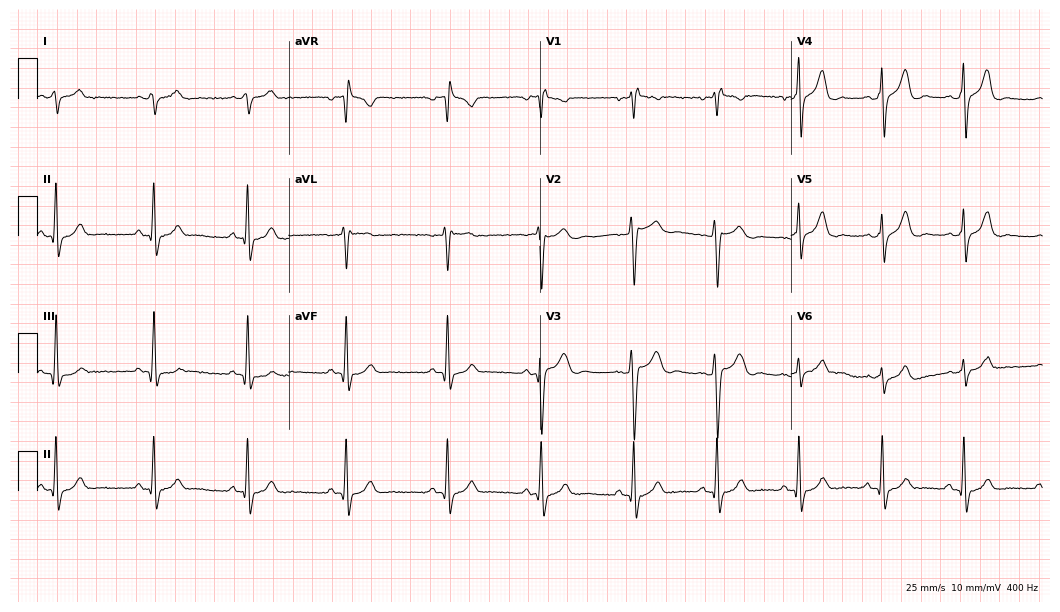
12-lead ECG (10.2-second recording at 400 Hz) from a male, 19 years old. Findings include right bundle branch block (RBBB).